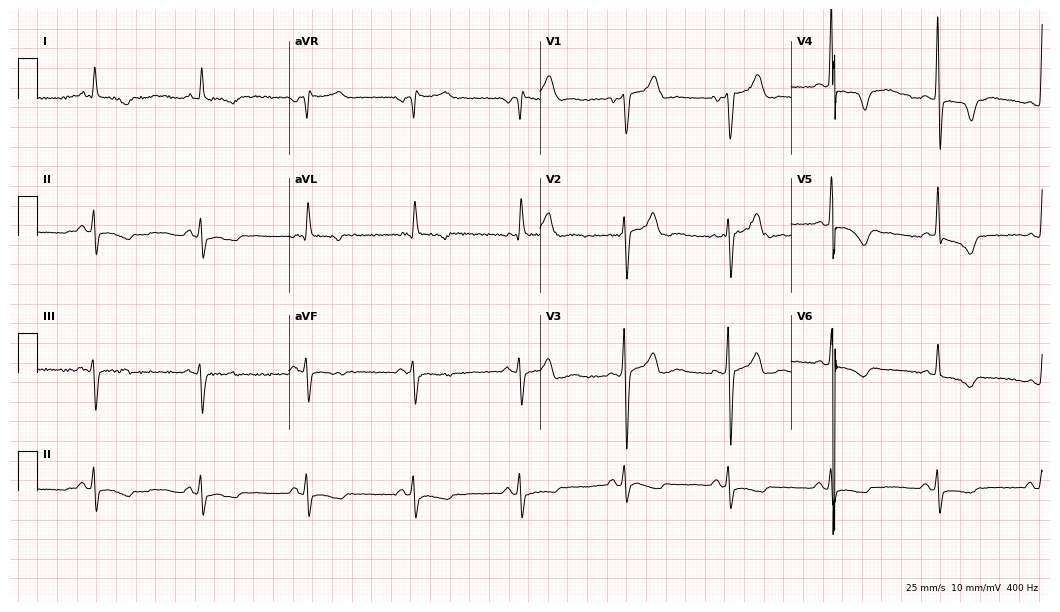
Standard 12-lead ECG recorded from a 69-year-old male patient. None of these six findings is recorded: first-degree AV block, right bundle branch block, left bundle branch block, sinus bradycardia, atrial fibrillation, sinus tachycardia. Findings outside these six are not listed.